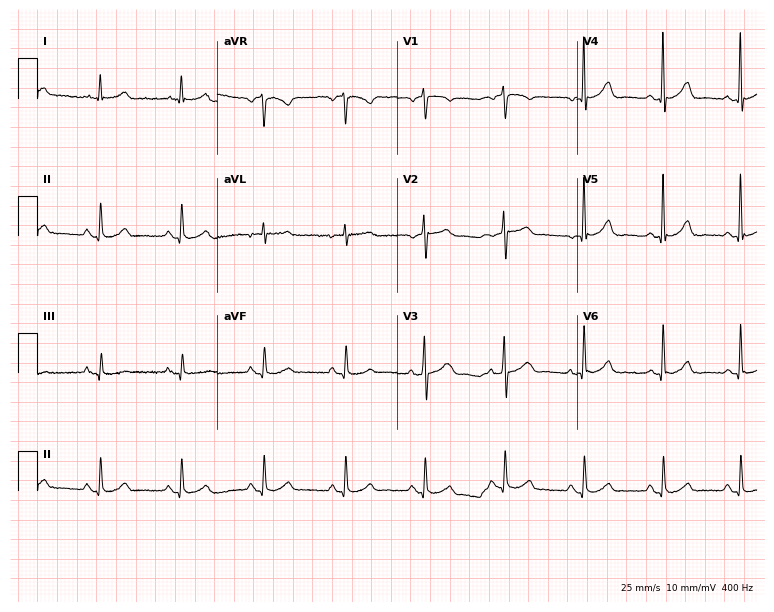
Resting 12-lead electrocardiogram (7.3-second recording at 400 Hz). Patient: a 67-year-old man. None of these six findings is recorded: first-degree AV block, right bundle branch block, left bundle branch block, sinus bradycardia, atrial fibrillation, sinus tachycardia. Findings outside these six are not listed.